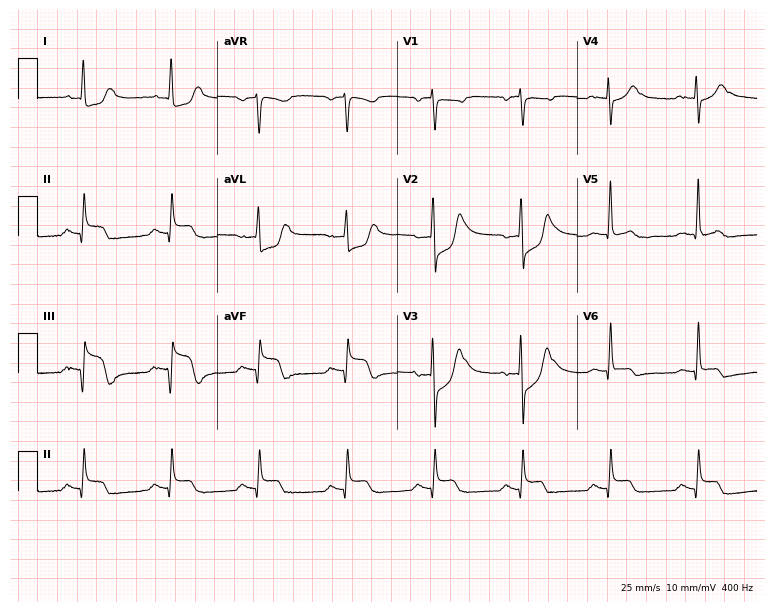
Standard 12-lead ECG recorded from a 78-year-old female patient (7.3-second recording at 400 Hz). None of these six findings is recorded: first-degree AV block, right bundle branch block (RBBB), left bundle branch block (LBBB), sinus bradycardia, atrial fibrillation (AF), sinus tachycardia.